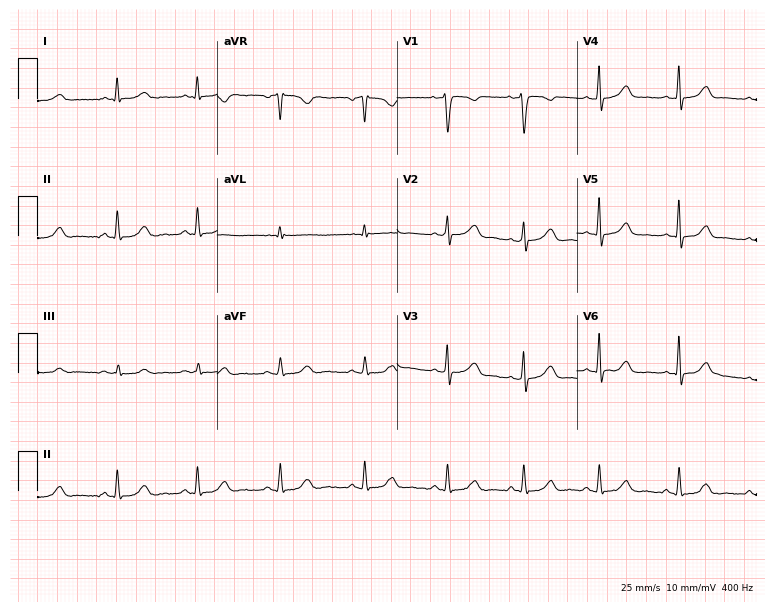
12-lead ECG from a 38-year-old woman. No first-degree AV block, right bundle branch block (RBBB), left bundle branch block (LBBB), sinus bradycardia, atrial fibrillation (AF) or sinus tachycardia recorded for this tracing.